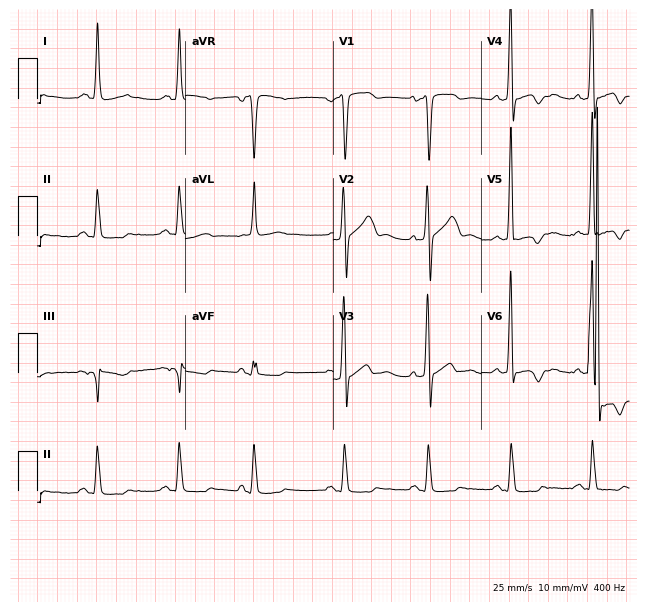
Electrocardiogram, a female, 59 years old. Of the six screened findings (first-degree AV block, right bundle branch block, left bundle branch block, sinus bradycardia, atrial fibrillation, sinus tachycardia), none is recorded.